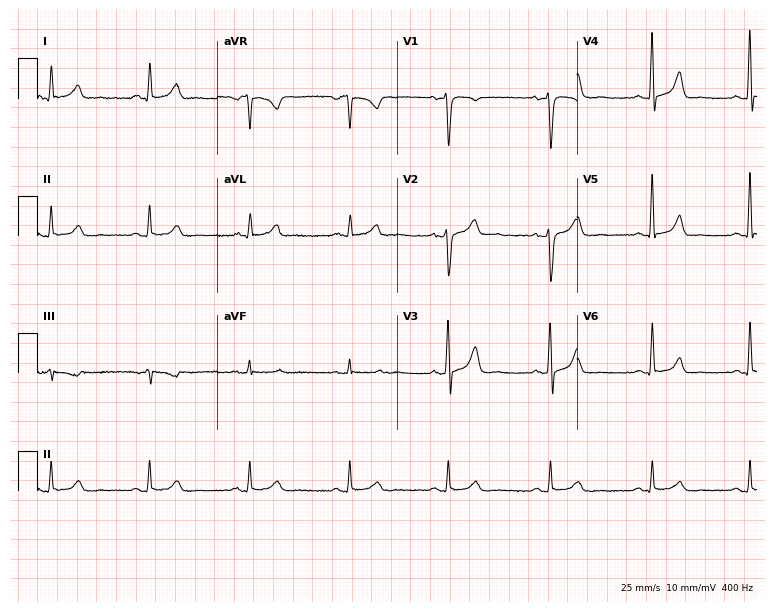
Standard 12-lead ECG recorded from a woman, 49 years old. None of these six findings is recorded: first-degree AV block, right bundle branch block (RBBB), left bundle branch block (LBBB), sinus bradycardia, atrial fibrillation (AF), sinus tachycardia. Only these six findings were labelled.